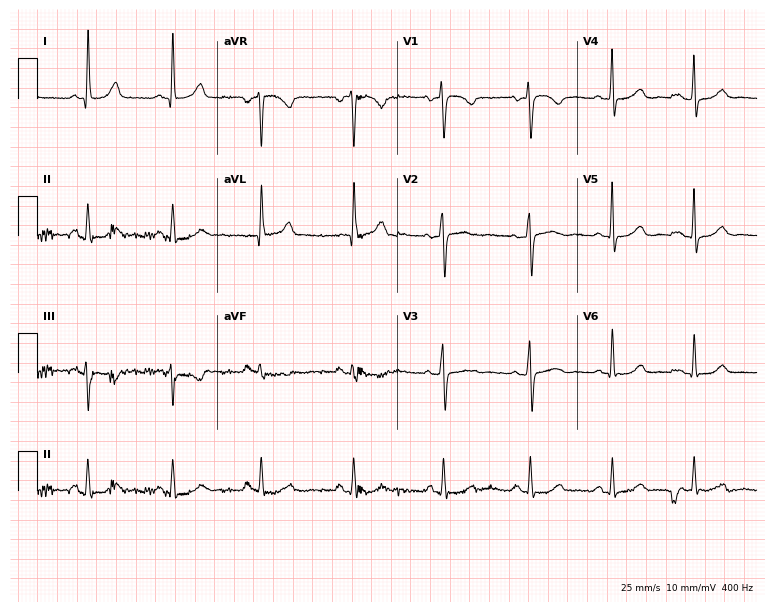
ECG — a female patient, 50 years old. Screened for six findings — first-degree AV block, right bundle branch block (RBBB), left bundle branch block (LBBB), sinus bradycardia, atrial fibrillation (AF), sinus tachycardia — none is recorded. Only these six findings were labelled.